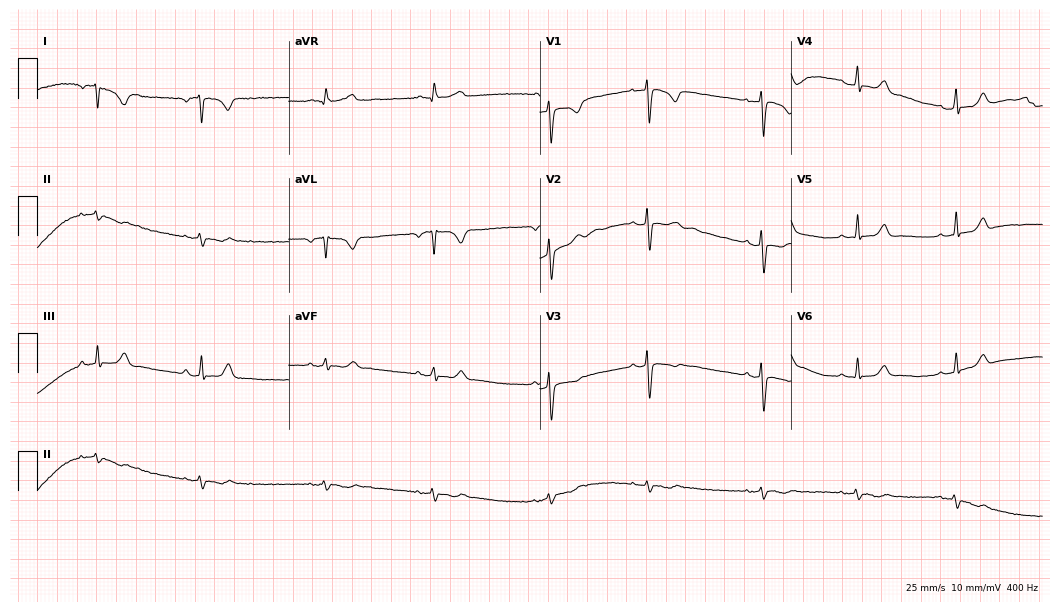
Electrocardiogram (10.2-second recording at 400 Hz), a female, 24 years old. Of the six screened findings (first-degree AV block, right bundle branch block, left bundle branch block, sinus bradycardia, atrial fibrillation, sinus tachycardia), none is recorded.